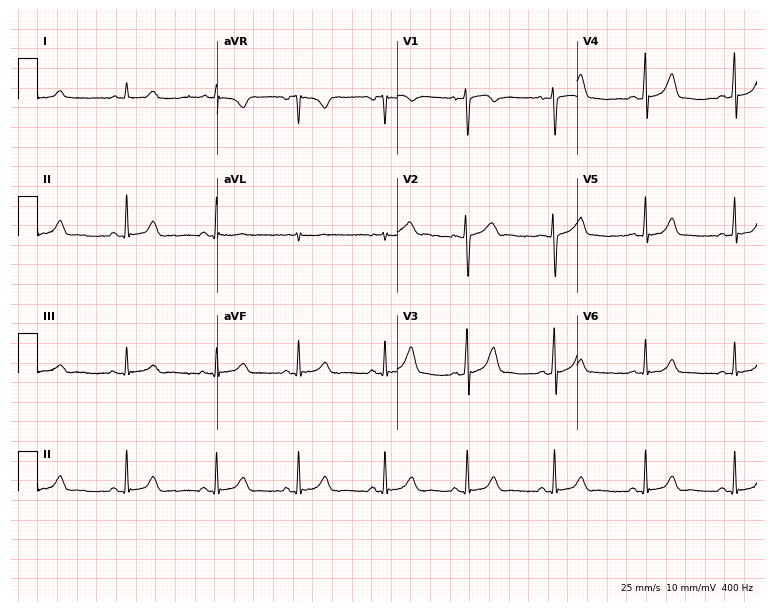
12-lead ECG (7.3-second recording at 400 Hz) from a female, 21 years old. Labelled as a normal ECG.